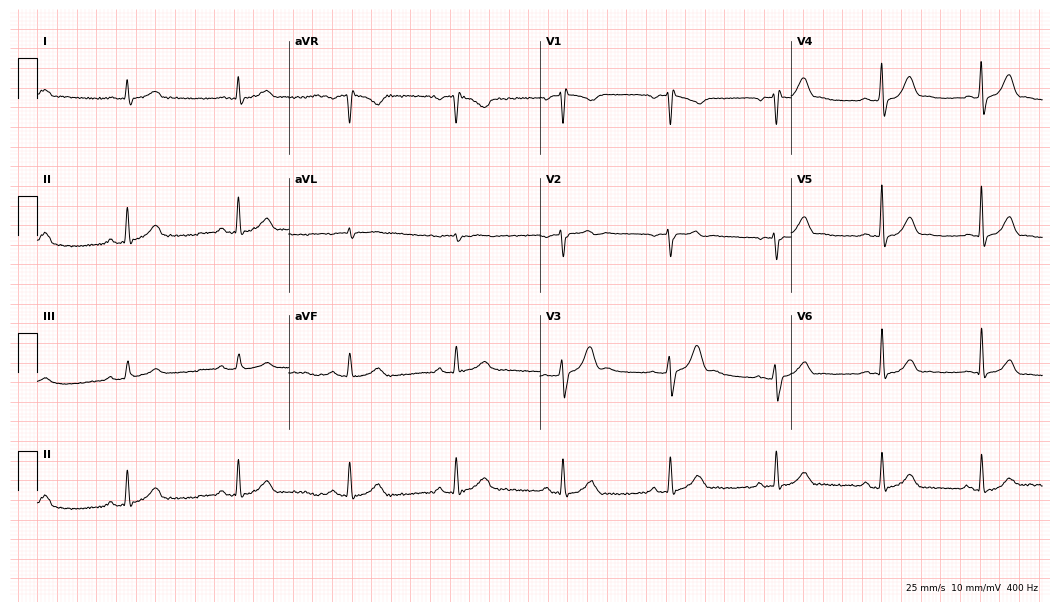
12-lead ECG from a male, 74 years old. Recorded interpretation: within normal limits.